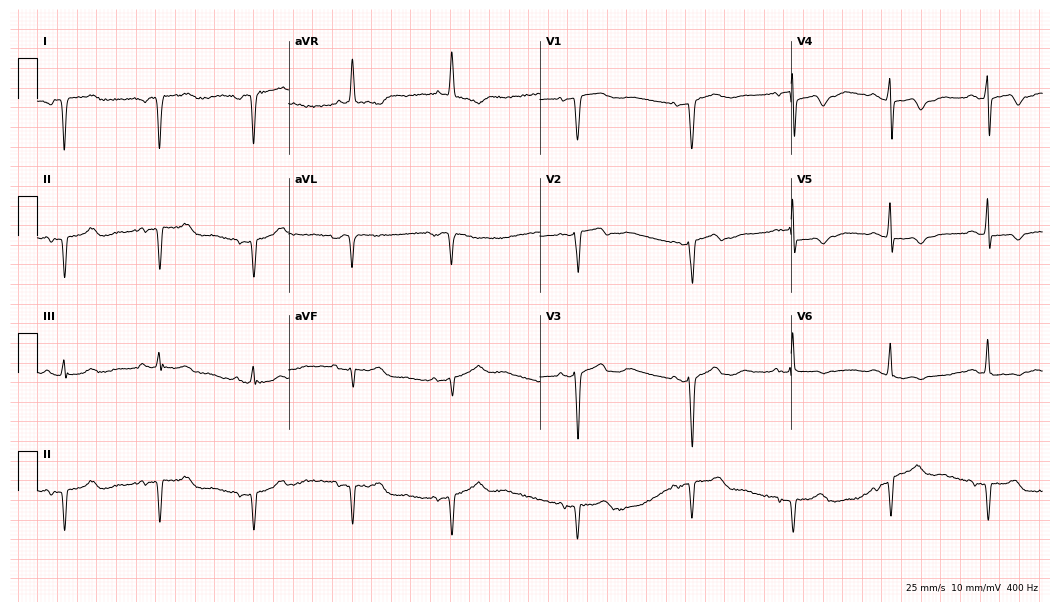
Resting 12-lead electrocardiogram. Patient: a woman, 69 years old. None of these six findings is recorded: first-degree AV block, right bundle branch block, left bundle branch block, sinus bradycardia, atrial fibrillation, sinus tachycardia. Other findings, if any, are not listed.